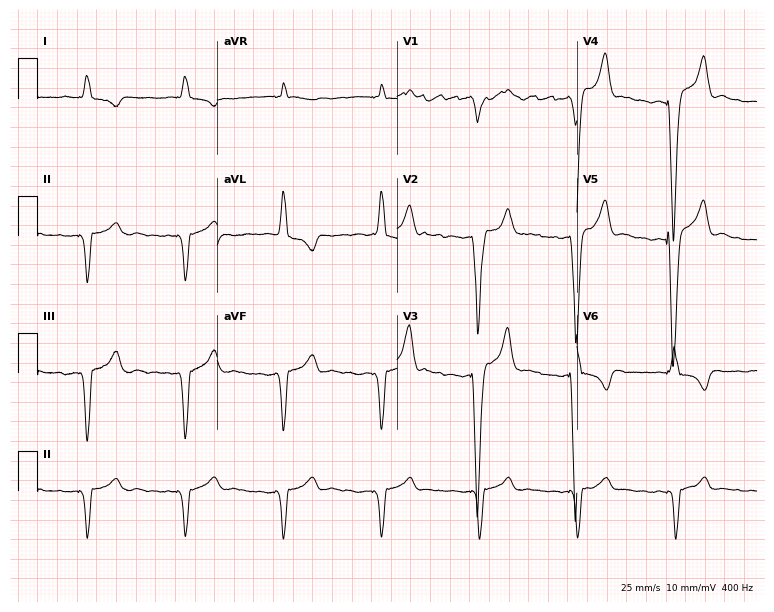
Standard 12-lead ECG recorded from a female patient, 85 years old (7.3-second recording at 400 Hz). None of these six findings is recorded: first-degree AV block, right bundle branch block (RBBB), left bundle branch block (LBBB), sinus bradycardia, atrial fibrillation (AF), sinus tachycardia. Findings outside these six are not listed.